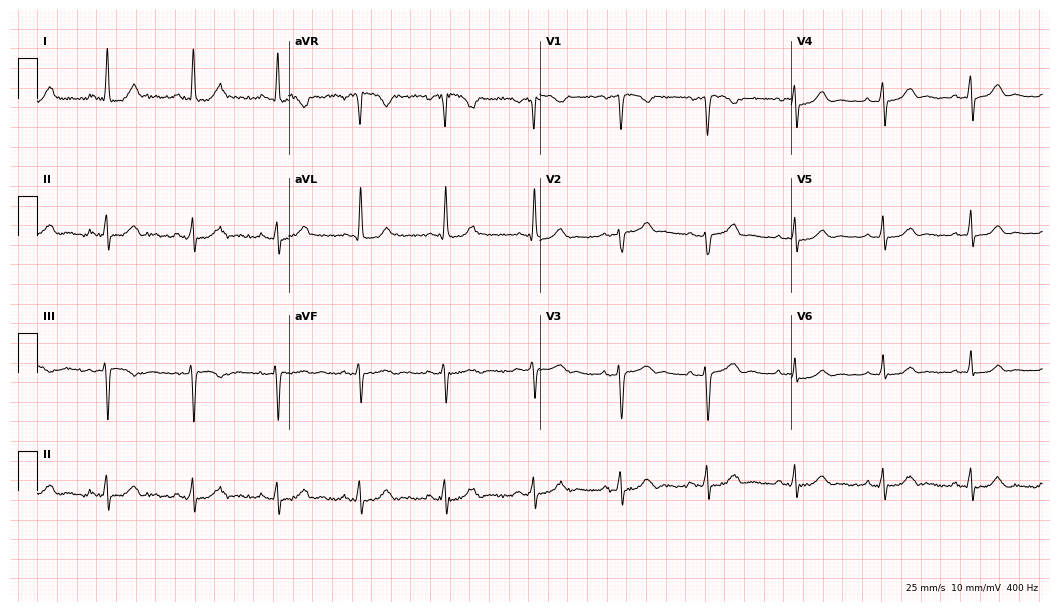
Standard 12-lead ECG recorded from a female, 45 years old (10.2-second recording at 400 Hz). Read as a normal ECG.